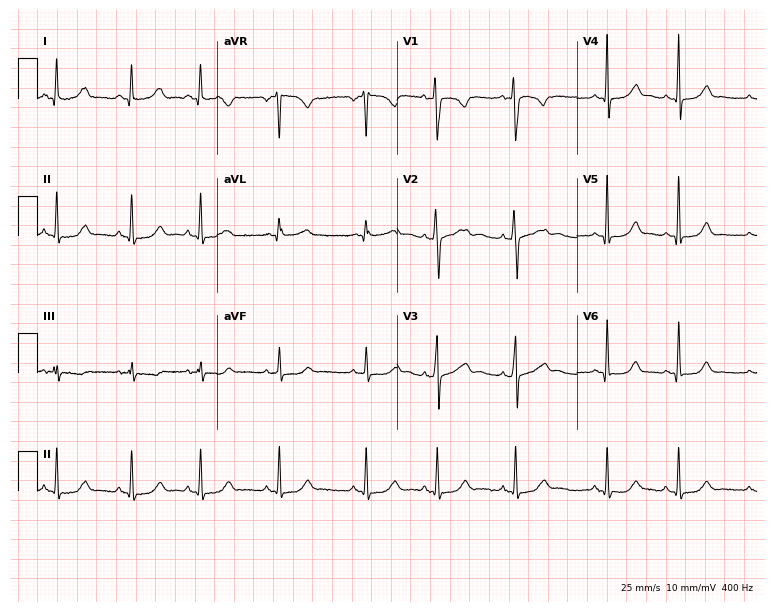
12-lead ECG from a female patient, 24 years old. No first-degree AV block, right bundle branch block, left bundle branch block, sinus bradycardia, atrial fibrillation or sinus tachycardia recorded for this tracing. Findings outside these six are not listed.